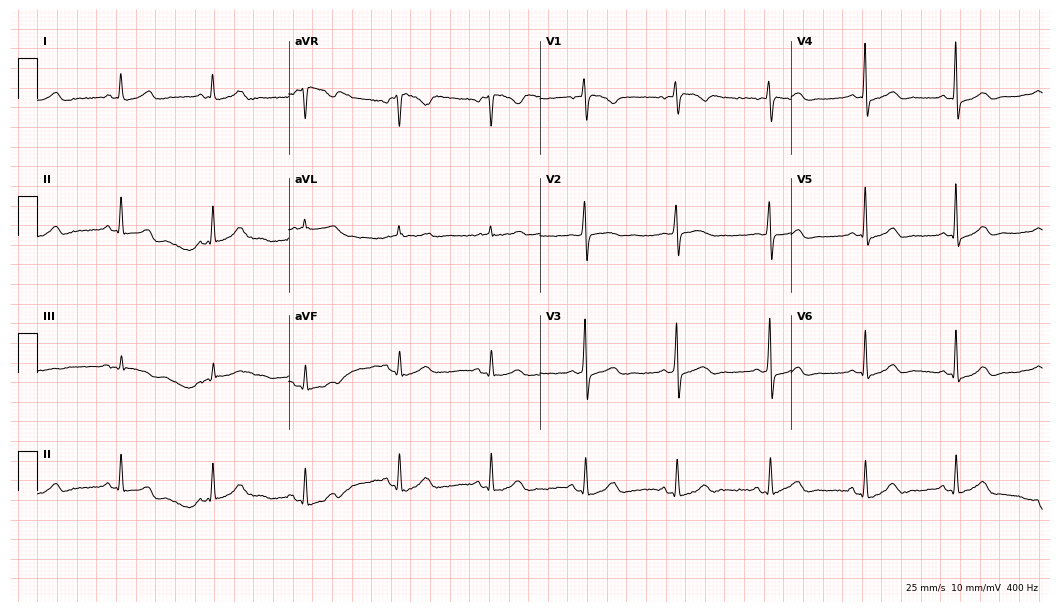
12-lead ECG from a female patient, 57 years old. Labelled as a normal ECG.